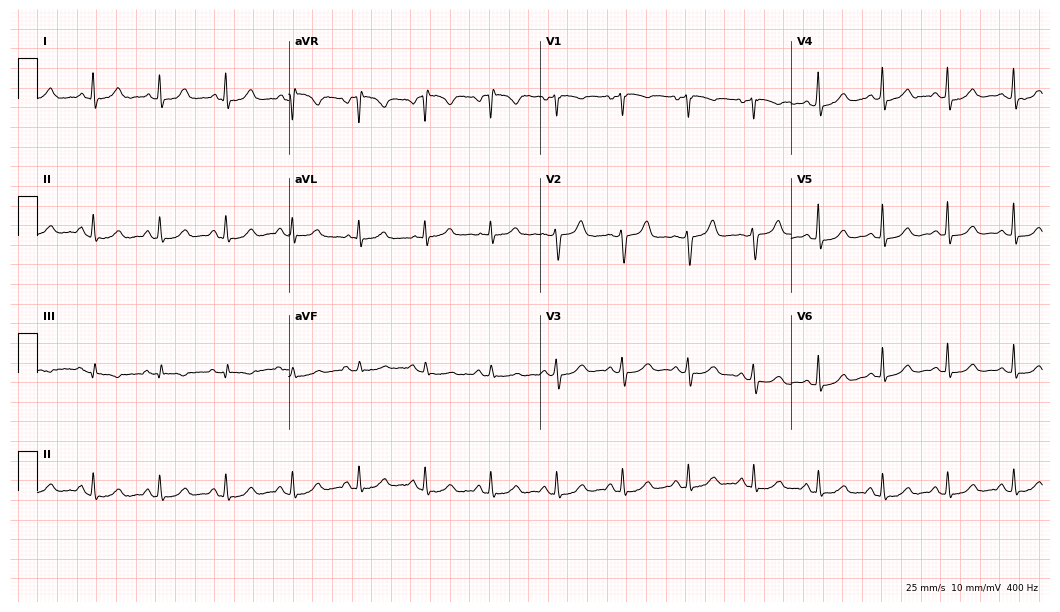
Standard 12-lead ECG recorded from a 71-year-old female. Read as a normal ECG.